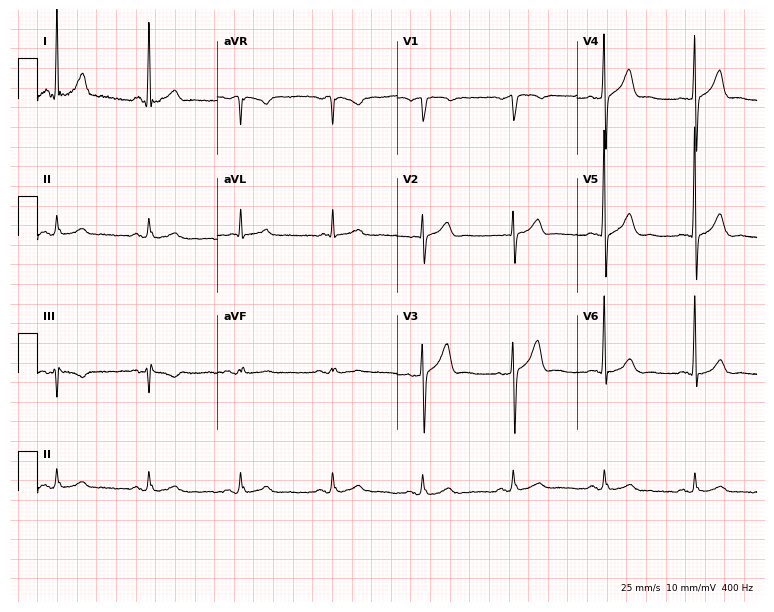
Standard 12-lead ECG recorded from a male, 54 years old. Read as a normal ECG.